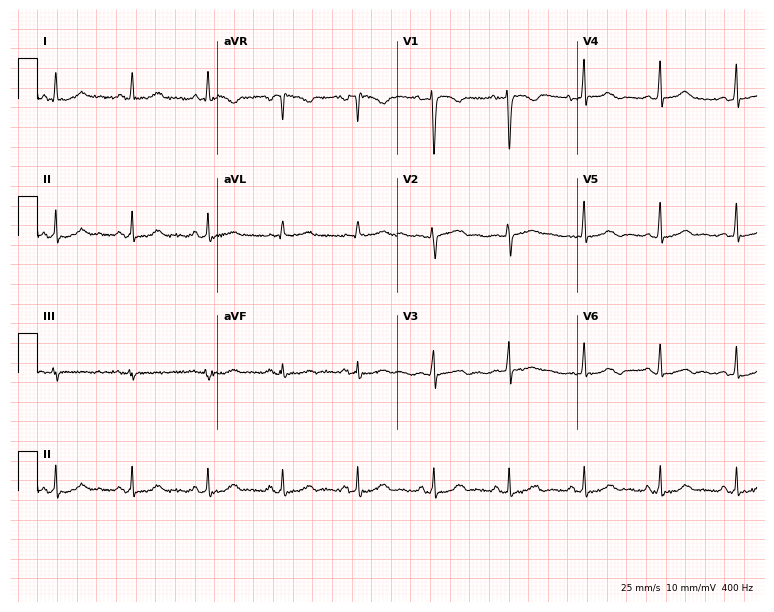
Resting 12-lead electrocardiogram (7.3-second recording at 400 Hz). Patient: a woman, 37 years old. None of these six findings is recorded: first-degree AV block, right bundle branch block (RBBB), left bundle branch block (LBBB), sinus bradycardia, atrial fibrillation (AF), sinus tachycardia.